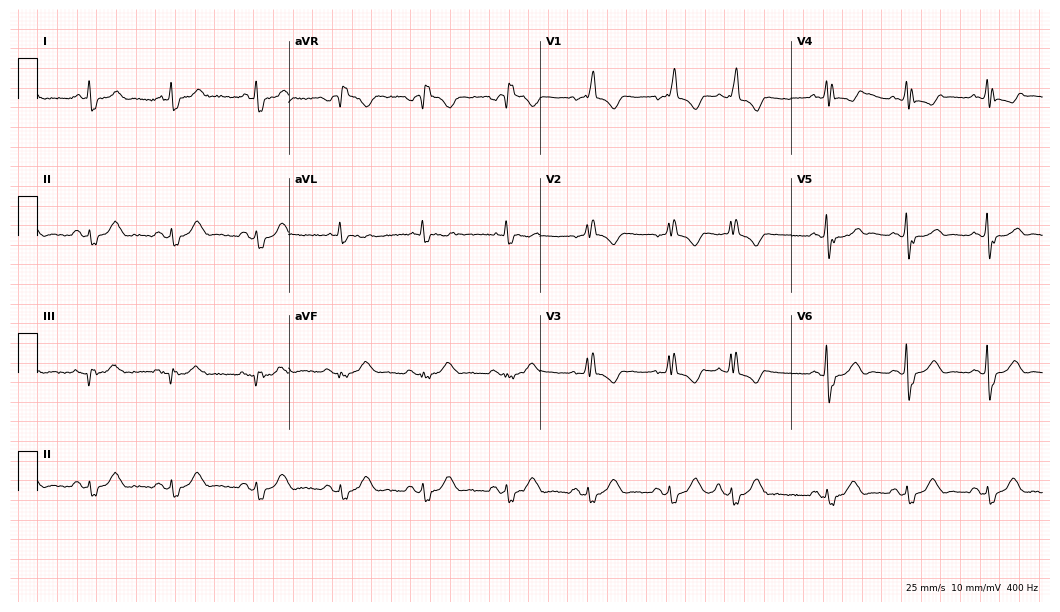
ECG (10.2-second recording at 400 Hz) — an 85-year-old female patient. Screened for six findings — first-degree AV block, right bundle branch block, left bundle branch block, sinus bradycardia, atrial fibrillation, sinus tachycardia — none is recorded.